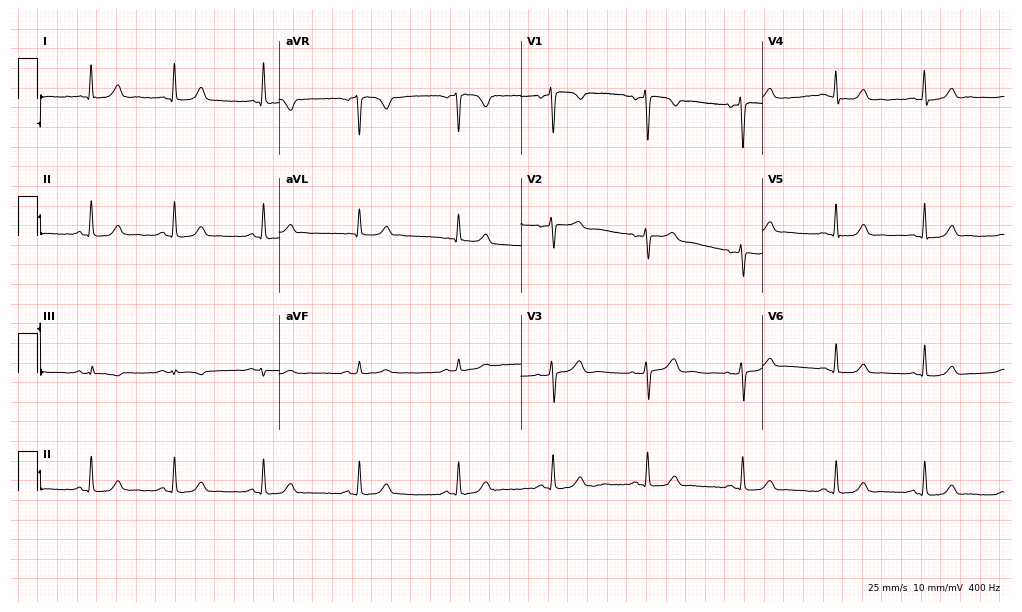
Electrocardiogram, a 51-year-old female. Overall reading on record: normal ECG.